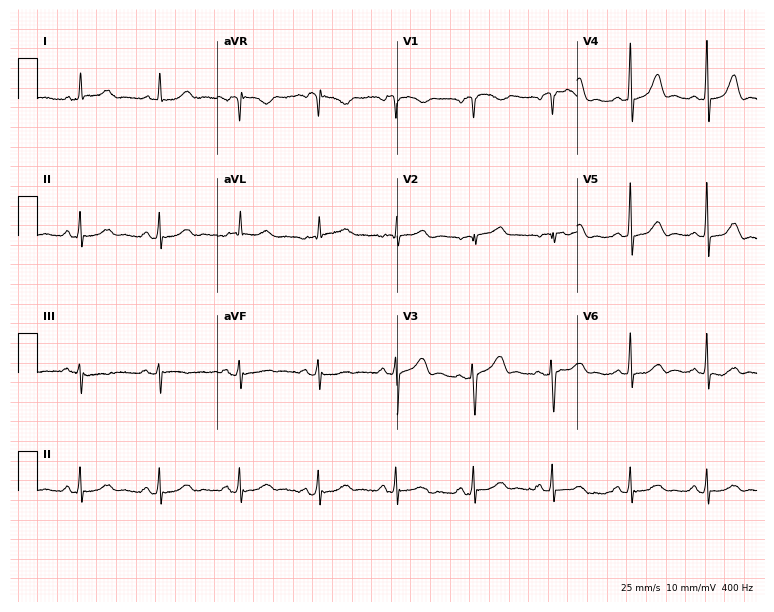
12-lead ECG (7.3-second recording at 400 Hz) from a female patient, 48 years old. Screened for six findings — first-degree AV block, right bundle branch block, left bundle branch block, sinus bradycardia, atrial fibrillation, sinus tachycardia — none is recorded.